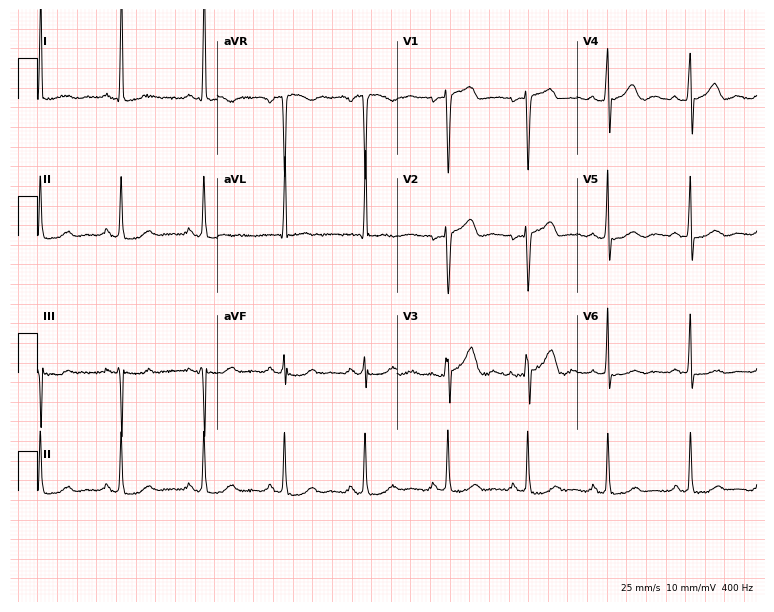
ECG (7.3-second recording at 400 Hz) — a female patient, 48 years old. Screened for six findings — first-degree AV block, right bundle branch block, left bundle branch block, sinus bradycardia, atrial fibrillation, sinus tachycardia — none is recorded.